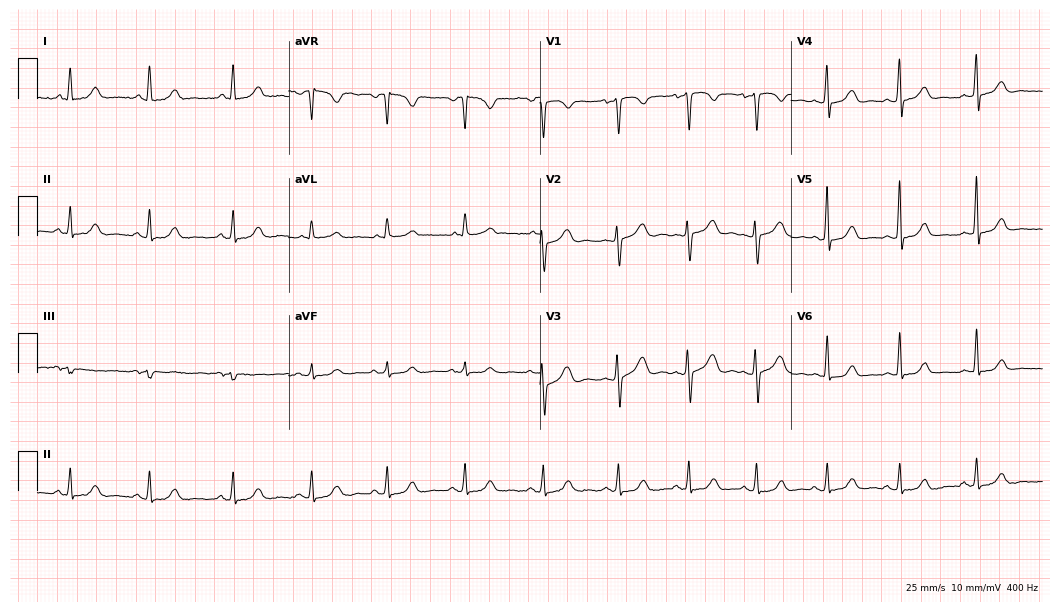
Electrocardiogram, a 40-year-old female. Of the six screened findings (first-degree AV block, right bundle branch block (RBBB), left bundle branch block (LBBB), sinus bradycardia, atrial fibrillation (AF), sinus tachycardia), none is recorded. Findings outside these six are not listed.